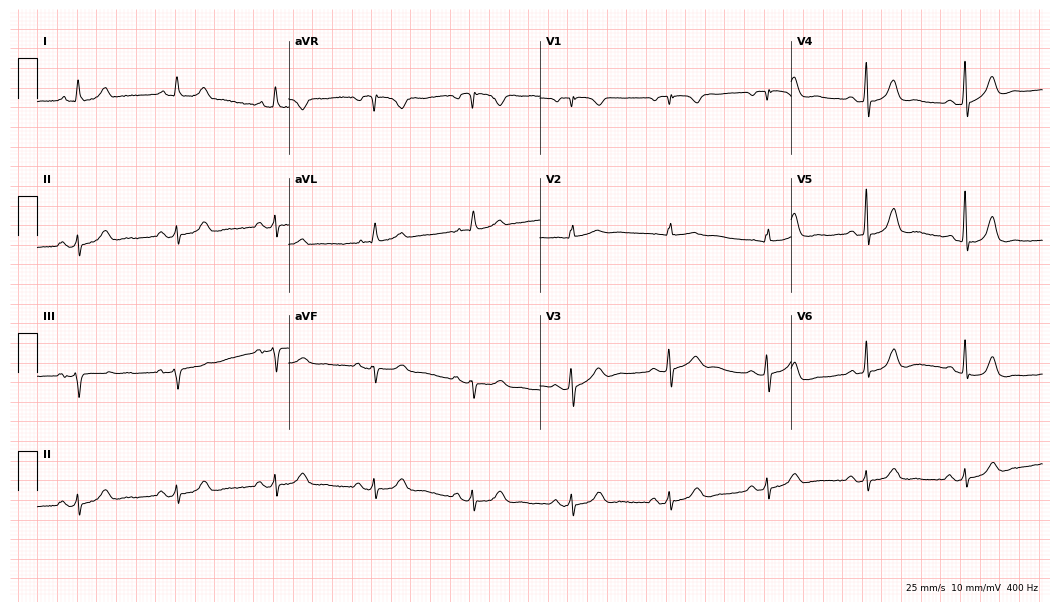
Electrocardiogram (10.2-second recording at 400 Hz), an 83-year-old female. Overall reading on record: normal ECG.